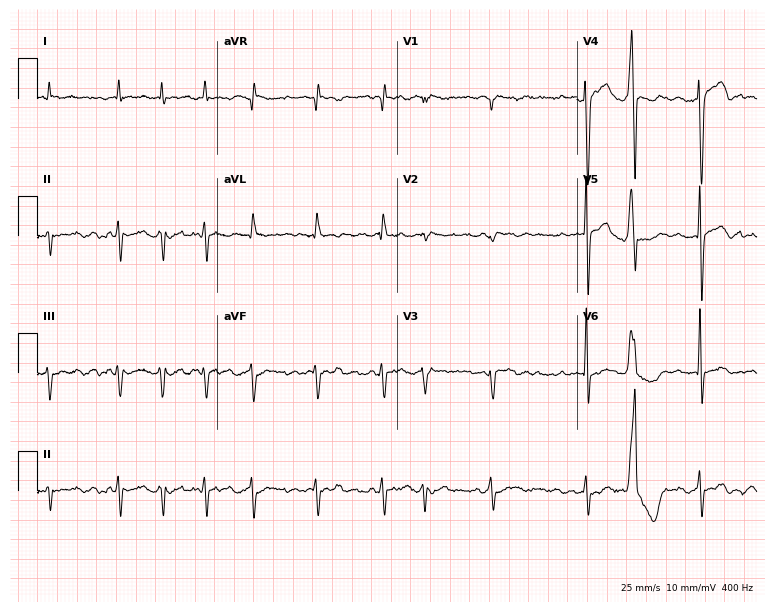
Resting 12-lead electrocardiogram (7.3-second recording at 400 Hz). Patient: a male, 84 years old. The tracing shows atrial fibrillation.